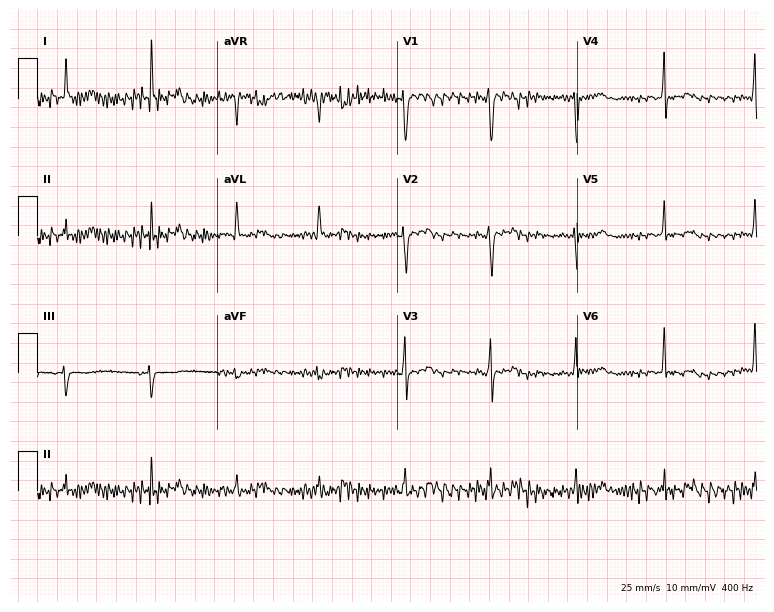
ECG — a 36-year-old woman. Screened for six findings — first-degree AV block, right bundle branch block (RBBB), left bundle branch block (LBBB), sinus bradycardia, atrial fibrillation (AF), sinus tachycardia — none is recorded. Other findings, if any, are not listed.